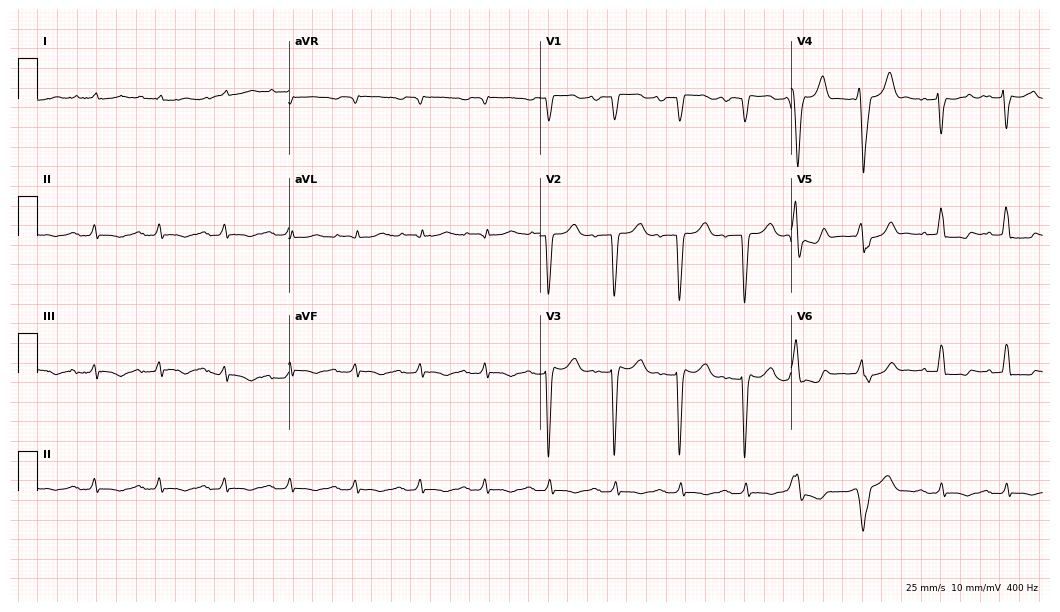
Standard 12-lead ECG recorded from a male, 62 years old. The tracing shows first-degree AV block.